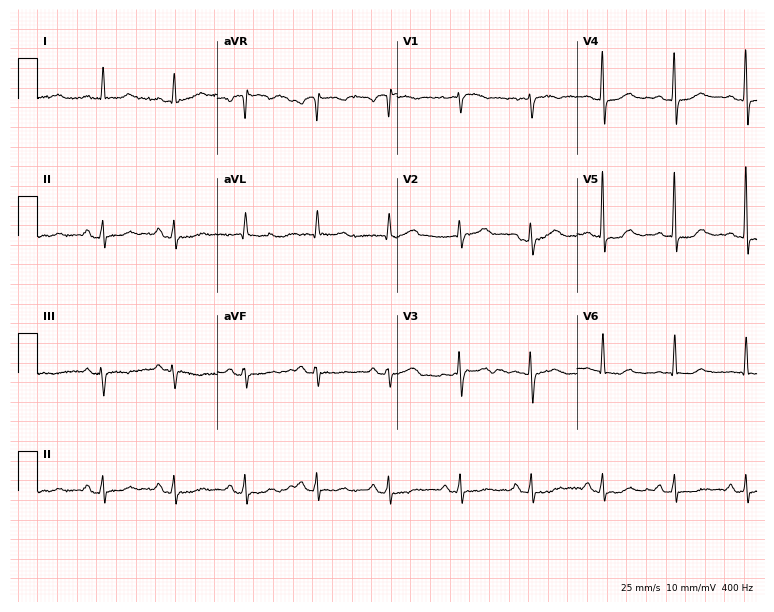
Standard 12-lead ECG recorded from a 68-year-old female patient (7.3-second recording at 400 Hz). None of these six findings is recorded: first-degree AV block, right bundle branch block, left bundle branch block, sinus bradycardia, atrial fibrillation, sinus tachycardia.